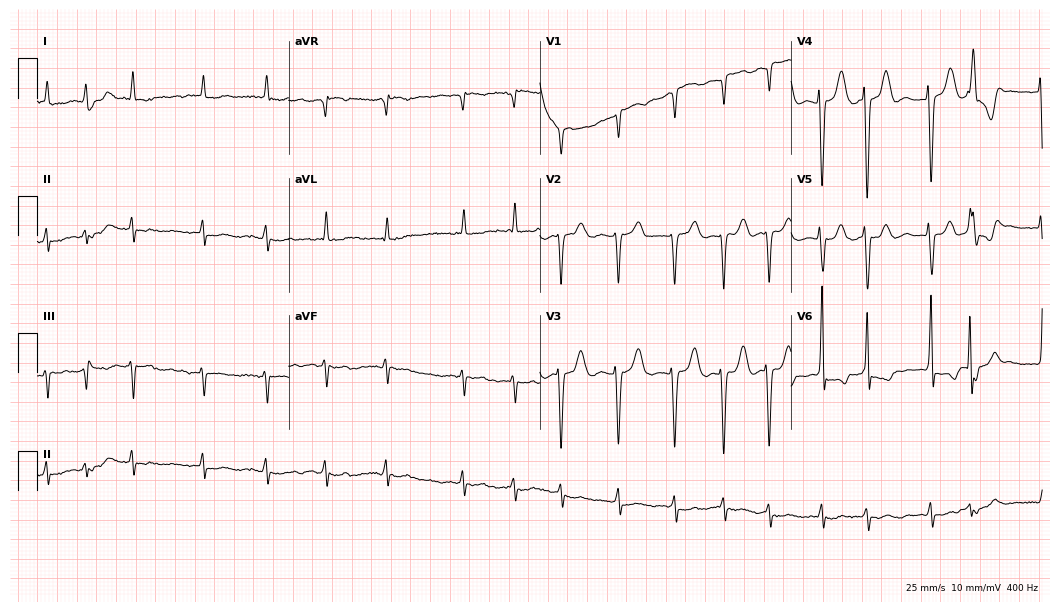
12-lead ECG from an 81-year-old female. Findings include atrial fibrillation.